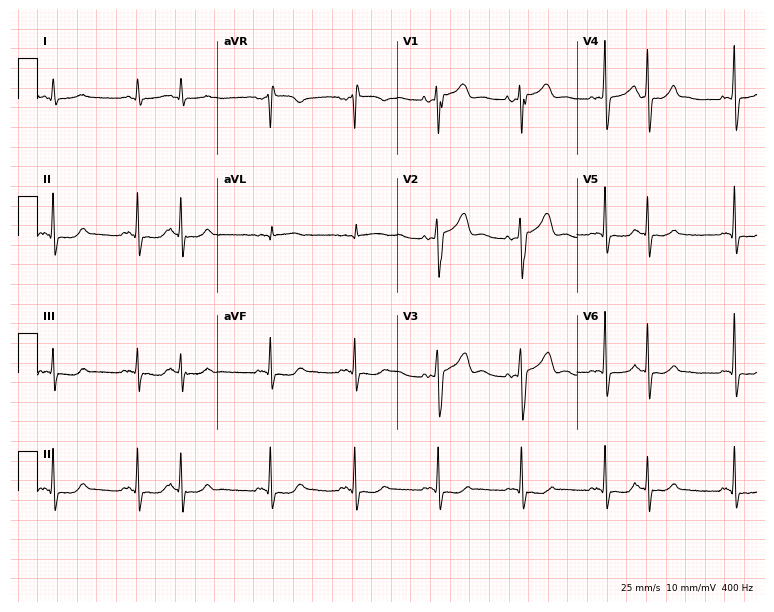
Standard 12-lead ECG recorded from a male, 81 years old (7.3-second recording at 400 Hz). Read as a normal ECG.